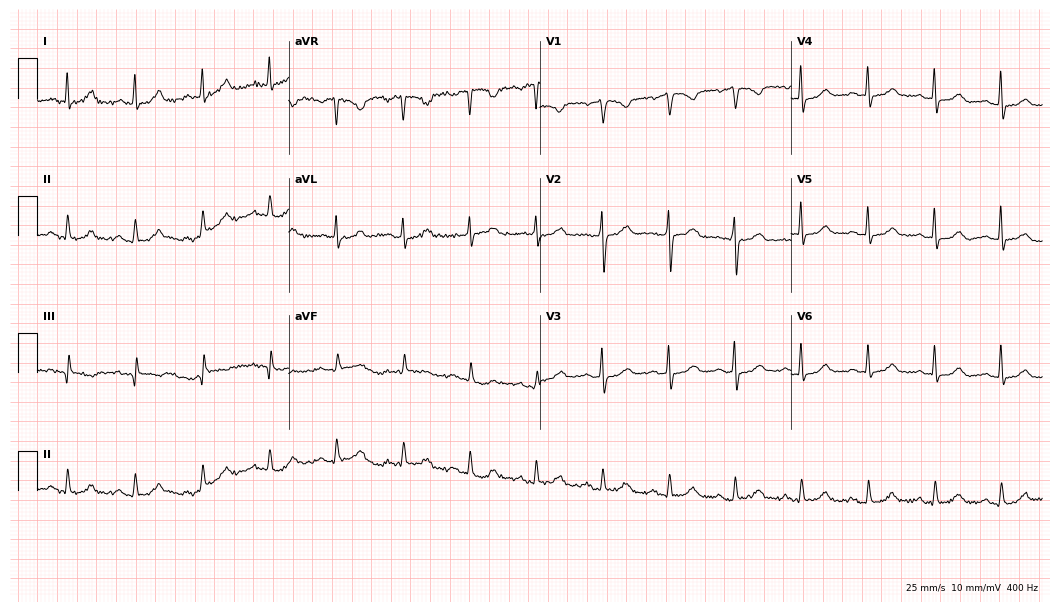
Electrocardiogram (10.2-second recording at 400 Hz), a male, 65 years old. Overall reading on record: normal ECG.